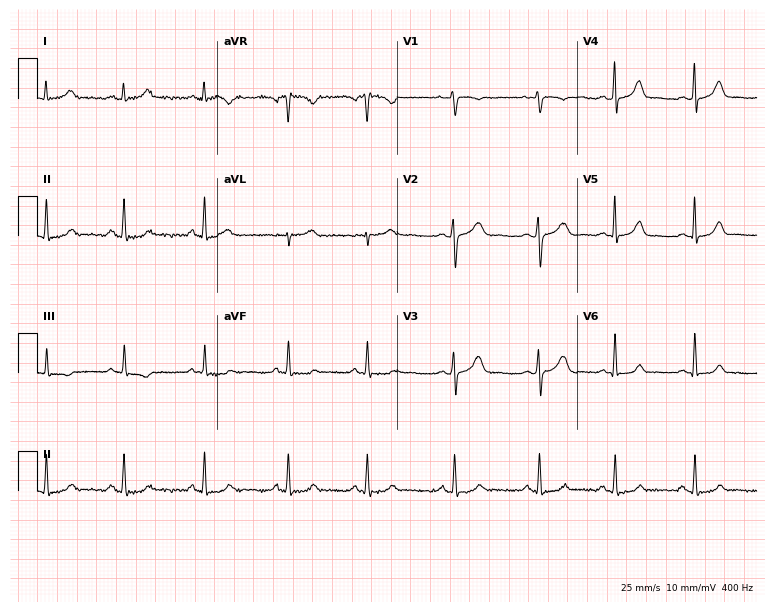
12-lead ECG from a 17-year-old woman. No first-degree AV block, right bundle branch block (RBBB), left bundle branch block (LBBB), sinus bradycardia, atrial fibrillation (AF) or sinus tachycardia recorded for this tracing.